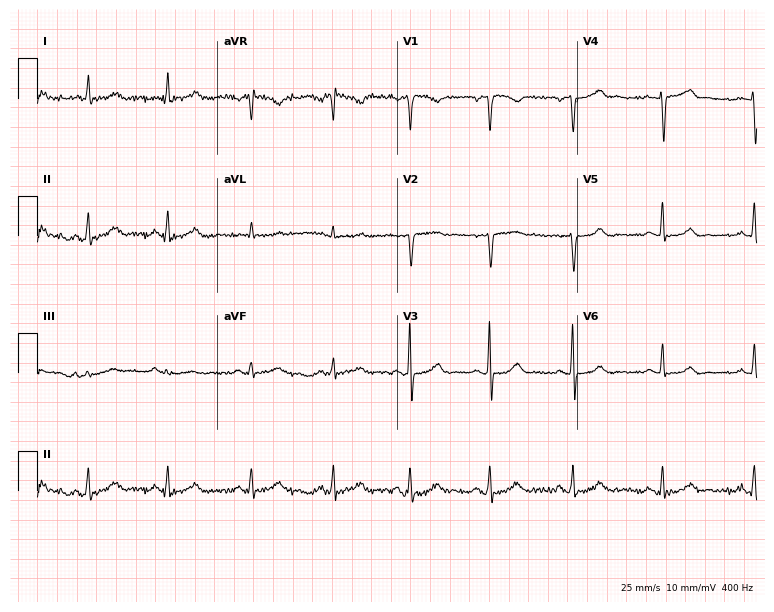
ECG — a 33-year-old female patient. Screened for six findings — first-degree AV block, right bundle branch block, left bundle branch block, sinus bradycardia, atrial fibrillation, sinus tachycardia — none is recorded.